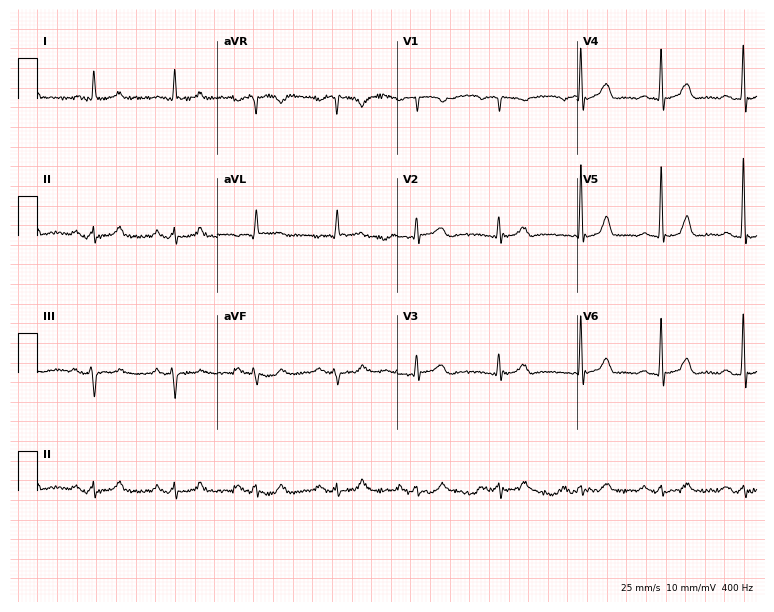
Standard 12-lead ECG recorded from an 81-year-old male patient (7.3-second recording at 400 Hz). Read as a normal ECG.